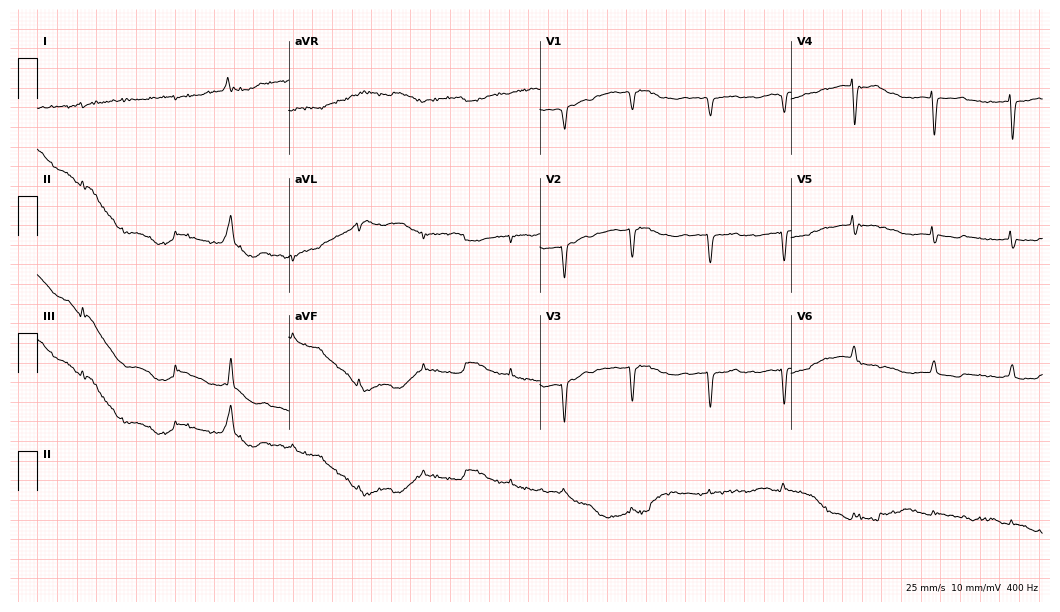
Resting 12-lead electrocardiogram. Patient: a female, 73 years old. None of these six findings is recorded: first-degree AV block, right bundle branch block, left bundle branch block, sinus bradycardia, atrial fibrillation, sinus tachycardia.